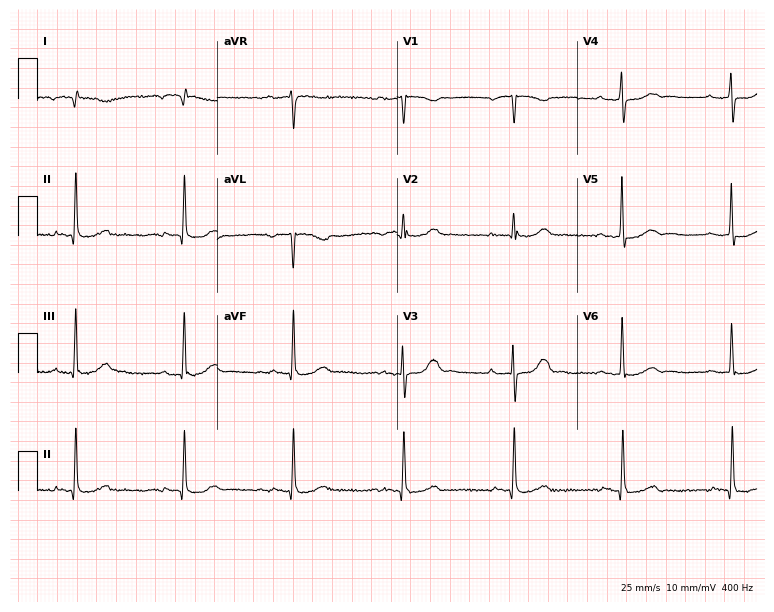
12-lead ECG from a 79-year-old male. No first-degree AV block, right bundle branch block, left bundle branch block, sinus bradycardia, atrial fibrillation or sinus tachycardia recorded for this tracing. Only these six findings were labelled.